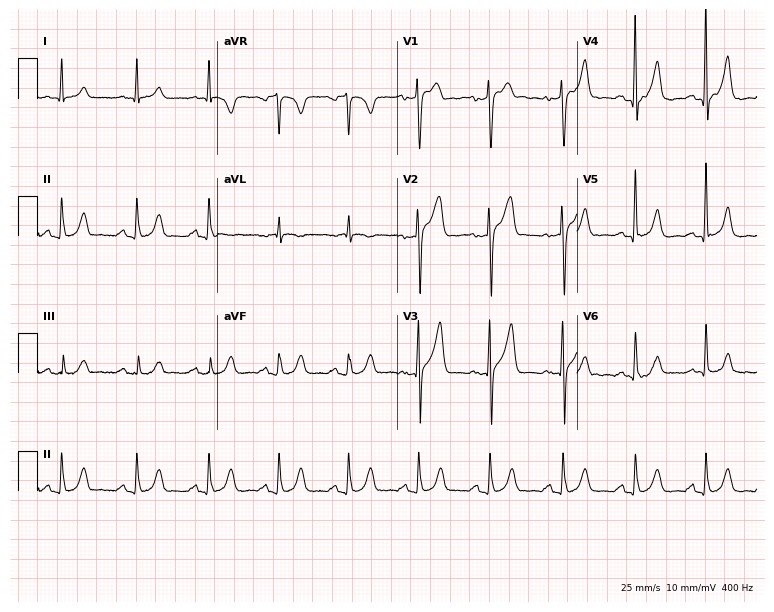
Resting 12-lead electrocardiogram. Patient: a 58-year-old male. Read as a normal ECG.